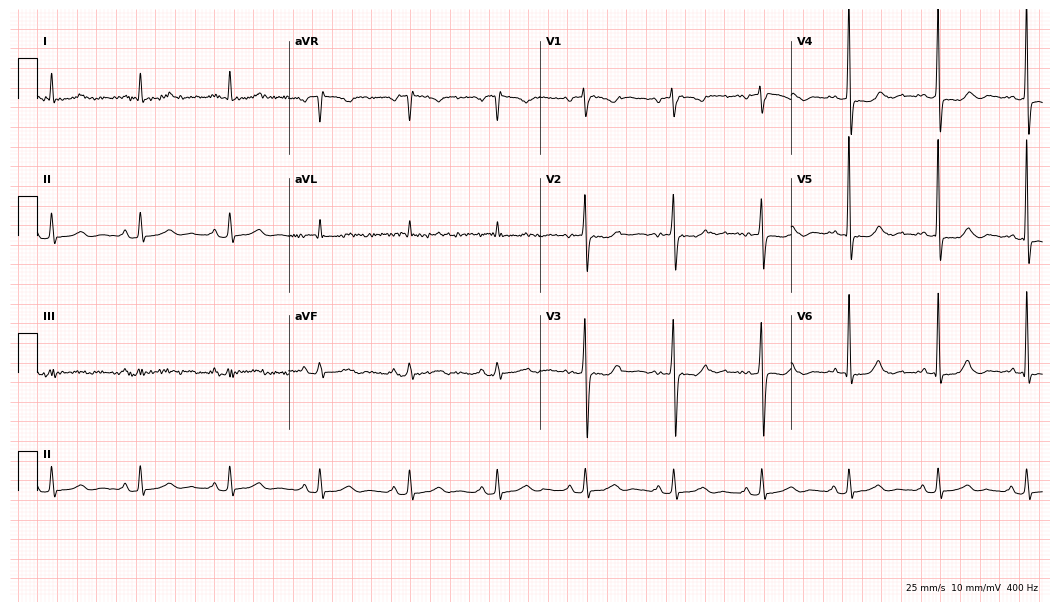
12-lead ECG from a female patient, 50 years old. No first-degree AV block, right bundle branch block, left bundle branch block, sinus bradycardia, atrial fibrillation or sinus tachycardia recorded for this tracing. Other findings, if any, are not listed.